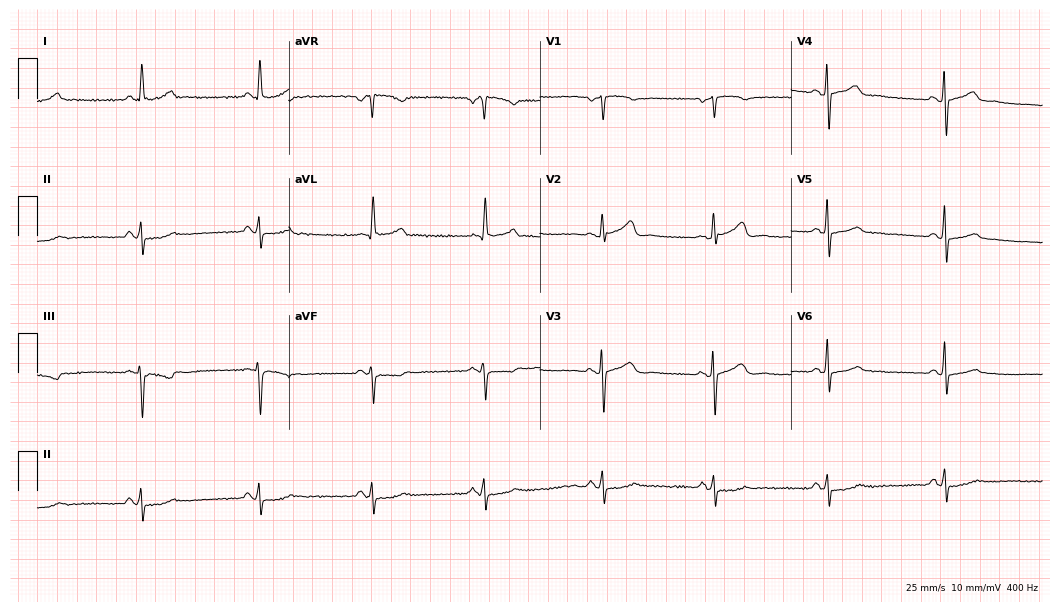
Resting 12-lead electrocardiogram. Patient: a female, 60 years old. None of these six findings is recorded: first-degree AV block, right bundle branch block, left bundle branch block, sinus bradycardia, atrial fibrillation, sinus tachycardia. Only these six findings were labelled.